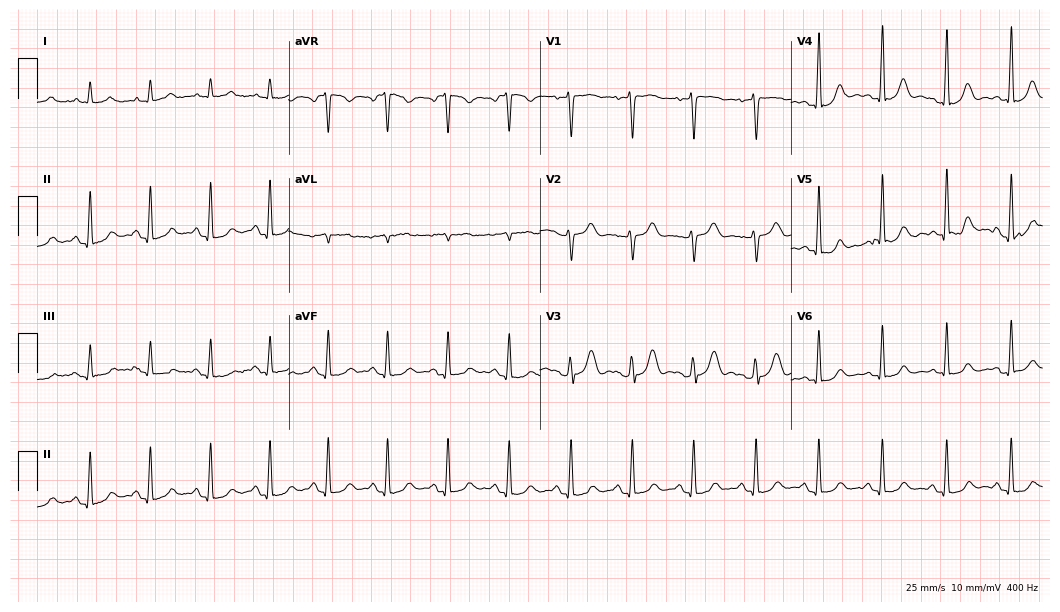
12-lead ECG from a female patient, 36 years old. No first-degree AV block, right bundle branch block (RBBB), left bundle branch block (LBBB), sinus bradycardia, atrial fibrillation (AF) or sinus tachycardia recorded for this tracing.